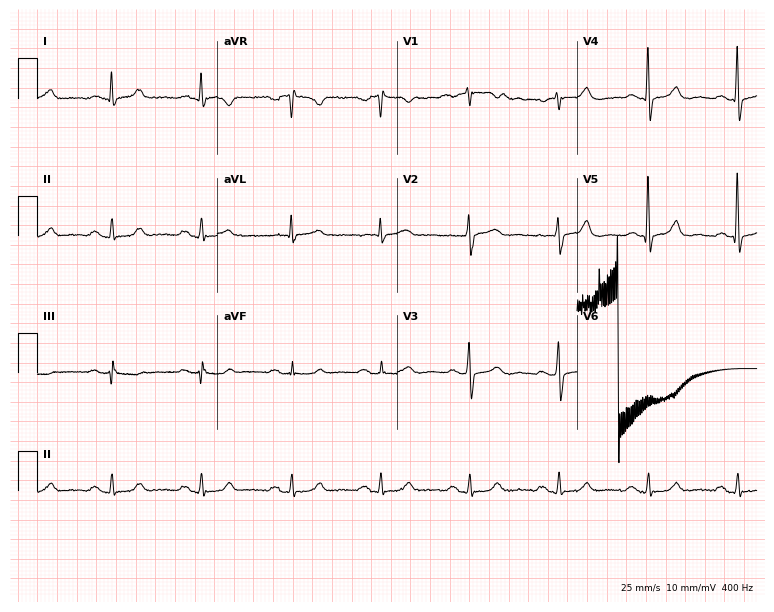
12-lead ECG (7.3-second recording at 400 Hz) from a 75-year-old male patient. Labelled as a normal ECG.